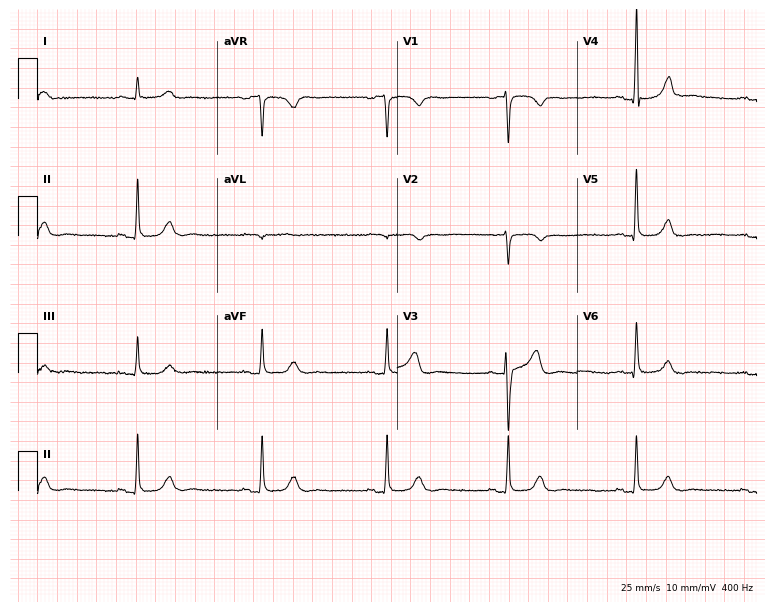
12-lead ECG from a 66-year-old female patient. Findings include sinus bradycardia (a sinus rate of 50 beats per minute or less).